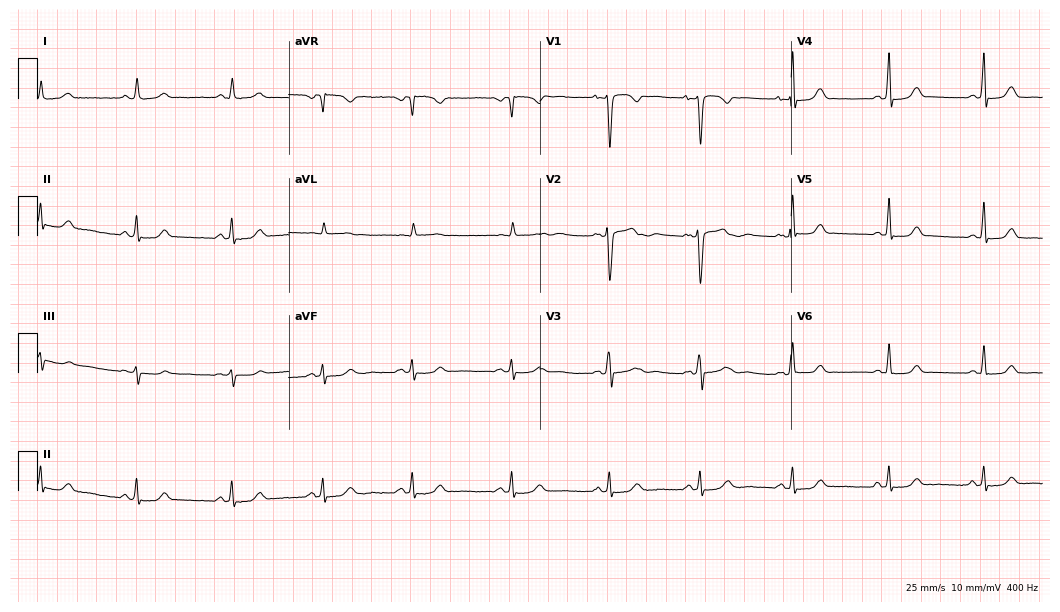
12-lead ECG (10.2-second recording at 400 Hz) from a 42-year-old man. Screened for six findings — first-degree AV block, right bundle branch block, left bundle branch block, sinus bradycardia, atrial fibrillation, sinus tachycardia — none is recorded. Findings outside these six are not listed.